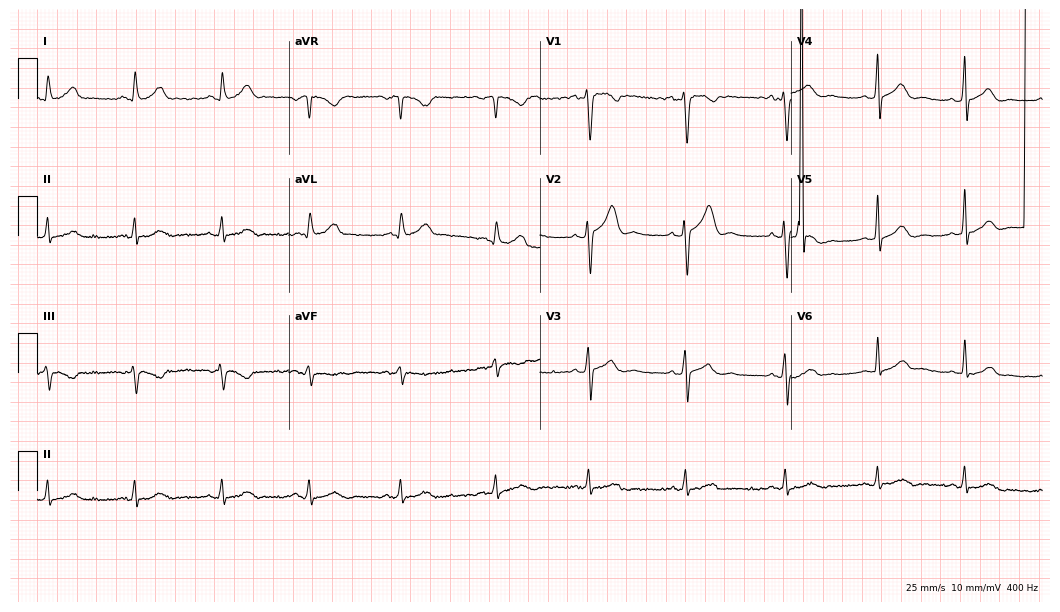
Electrocardiogram (10.2-second recording at 400 Hz), a male patient, 45 years old. Of the six screened findings (first-degree AV block, right bundle branch block, left bundle branch block, sinus bradycardia, atrial fibrillation, sinus tachycardia), none is recorded.